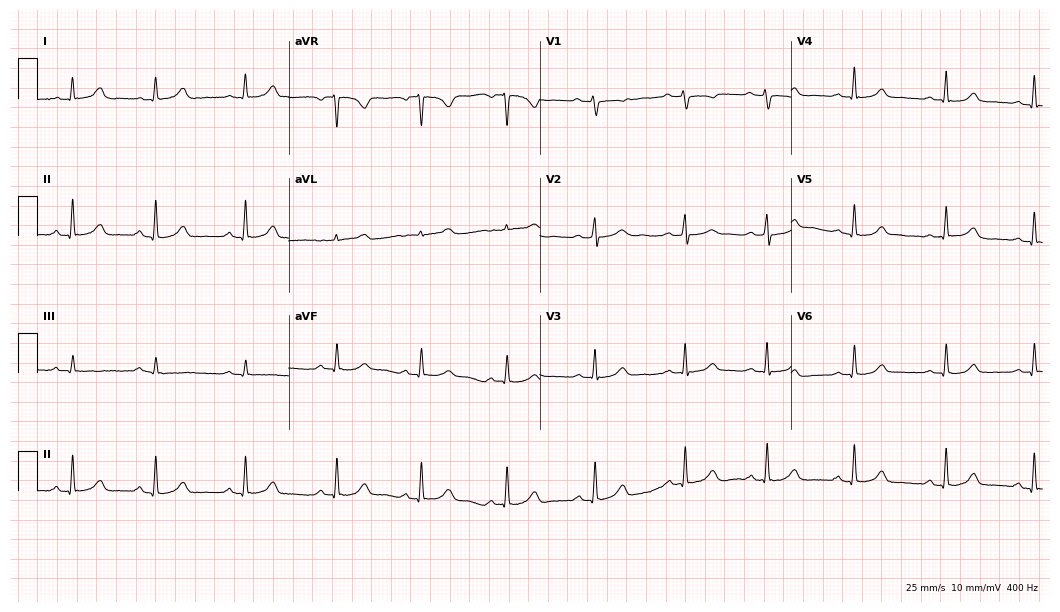
12-lead ECG (10.2-second recording at 400 Hz) from a 21-year-old female patient. Labelled as a normal ECG.